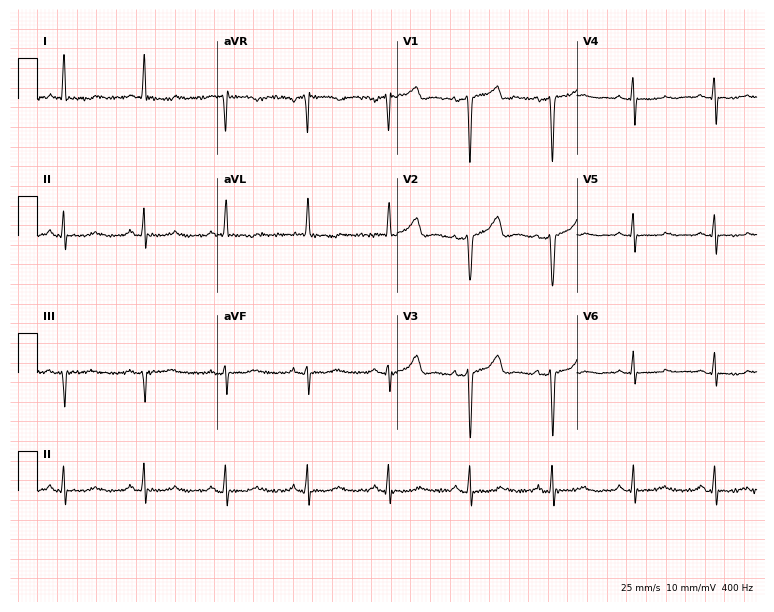
Resting 12-lead electrocardiogram (7.3-second recording at 400 Hz). Patient: a female, 66 years old. None of these six findings is recorded: first-degree AV block, right bundle branch block, left bundle branch block, sinus bradycardia, atrial fibrillation, sinus tachycardia. Findings outside these six are not listed.